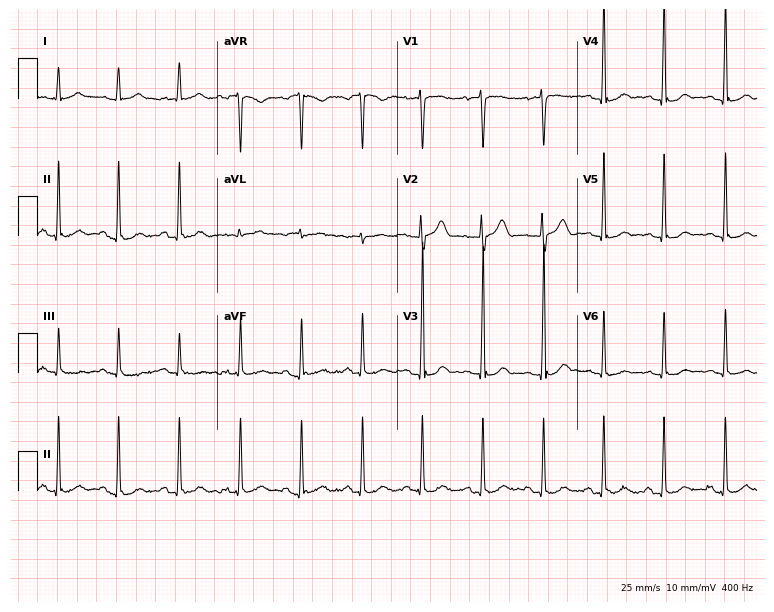
12-lead ECG from a man, 20 years old (7.3-second recording at 400 Hz). No first-degree AV block, right bundle branch block, left bundle branch block, sinus bradycardia, atrial fibrillation or sinus tachycardia recorded for this tracing. Only these six findings were labelled.